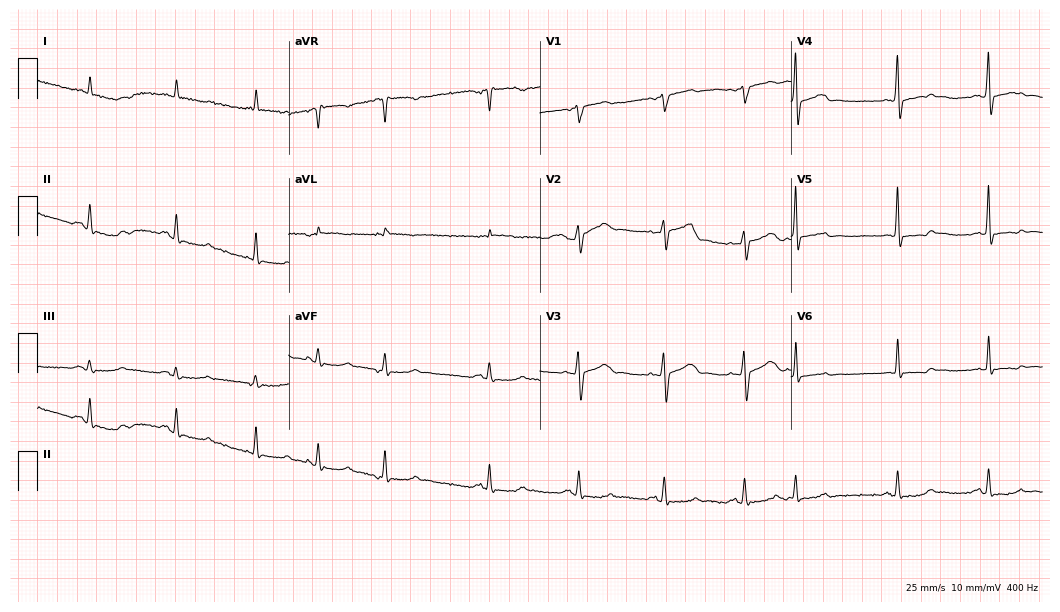
Resting 12-lead electrocardiogram. Patient: a man, 85 years old. None of these six findings is recorded: first-degree AV block, right bundle branch block (RBBB), left bundle branch block (LBBB), sinus bradycardia, atrial fibrillation (AF), sinus tachycardia. Only these six findings were labelled.